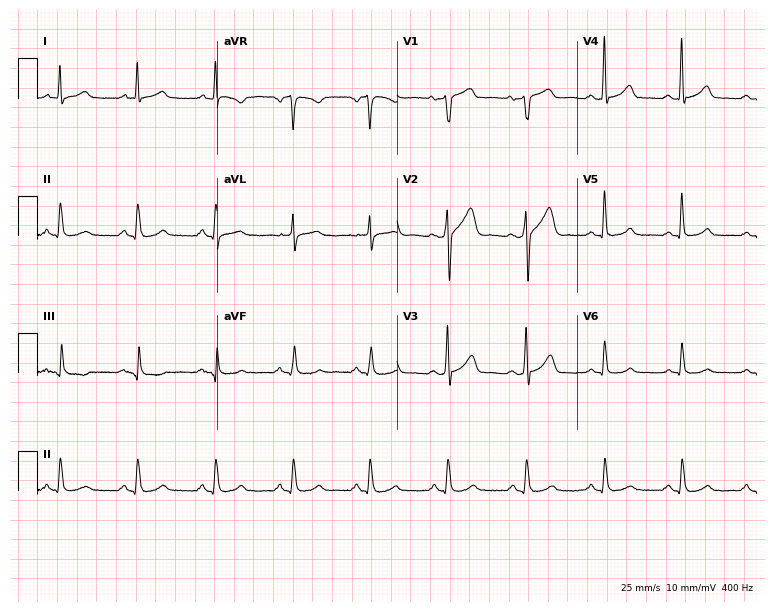
Electrocardiogram (7.3-second recording at 400 Hz), a man, 61 years old. Overall reading on record: normal ECG.